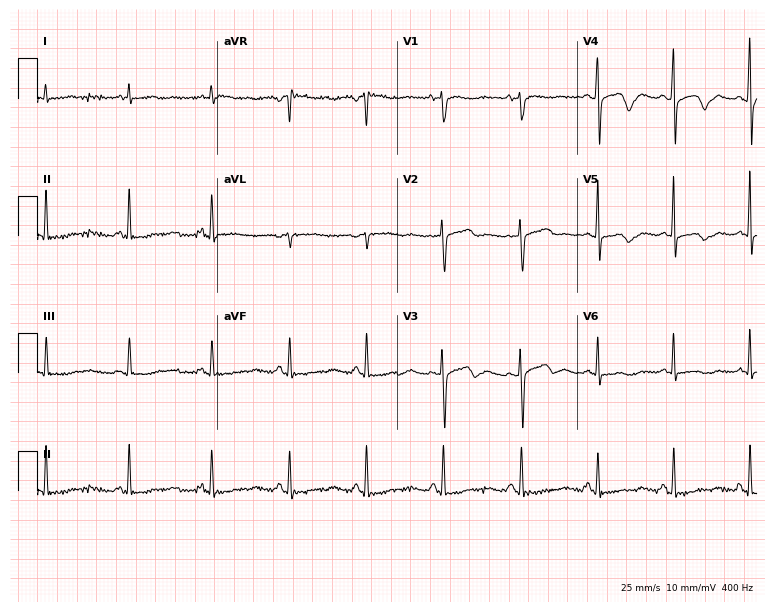
Electrocardiogram (7.3-second recording at 400 Hz), a female patient, 63 years old. Of the six screened findings (first-degree AV block, right bundle branch block (RBBB), left bundle branch block (LBBB), sinus bradycardia, atrial fibrillation (AF), sinus tachycardia), none is recorded.